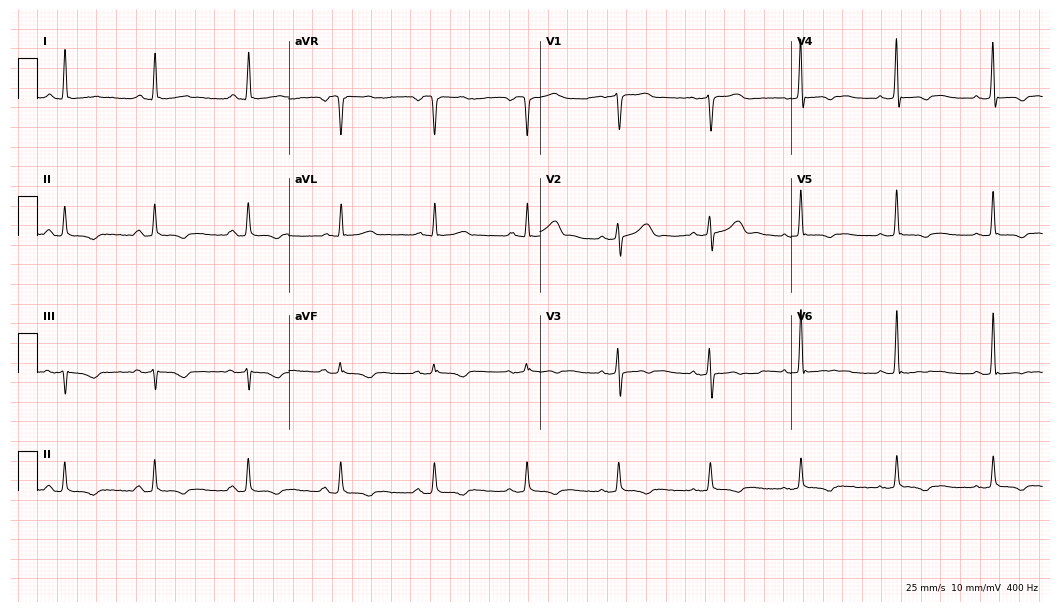
ECG — a 60-year-old female patient. Screened for six findings — first-degree AV block, right bundle branch block (RBBB), left bundle branch block (LBBB), sinus bradycardia, atrial fibrillation (AF), sinus tachycardia — none is recorded. Other findings, if any, are not listed.